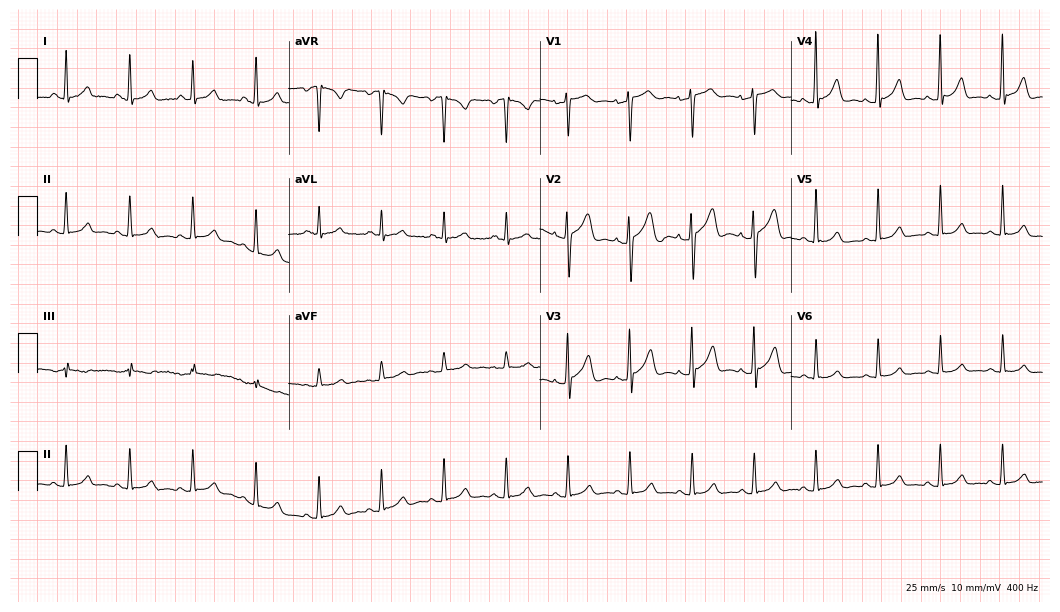
Standard 12-lead ECG recorded from a man, 50 years old (10.2-second recording at 400 Hz). Read as a normal ECG.